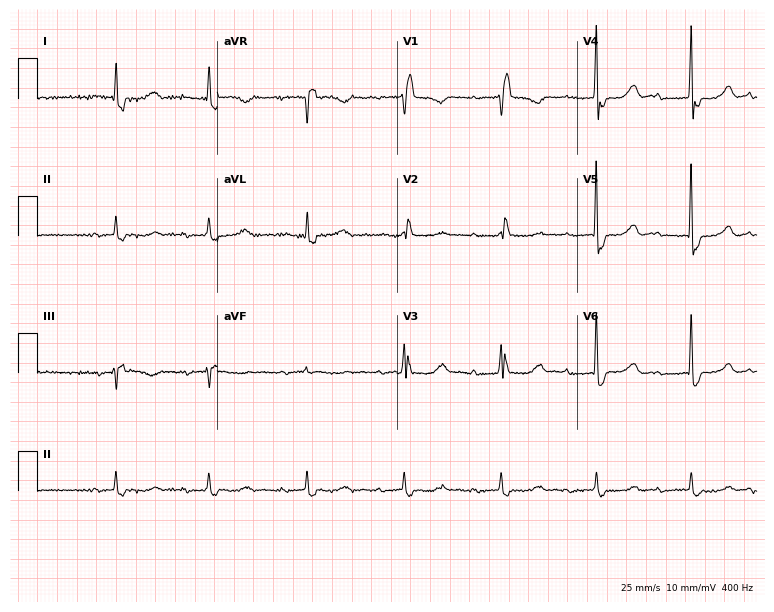
12-lead ECG from a 75-year-old female (7.3-second recording at 400 Hz). Shows first-degree AV block, right bundle branch block.